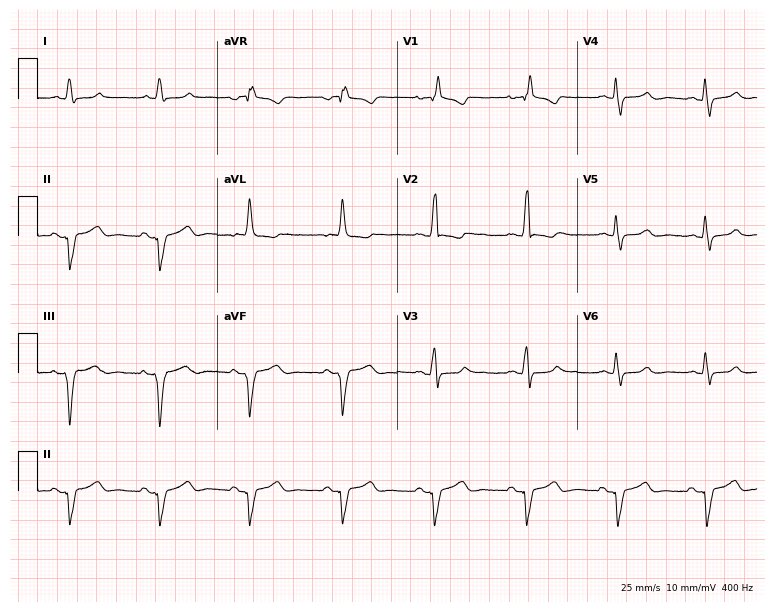
12-lead ECG from a 44-year-old female. Screened for six findings — first-degree AV block, right bundle branch block, left bundle branch block, sinus bradycardia, atrial fibrillation, sinus tachycardia — none is recorded.